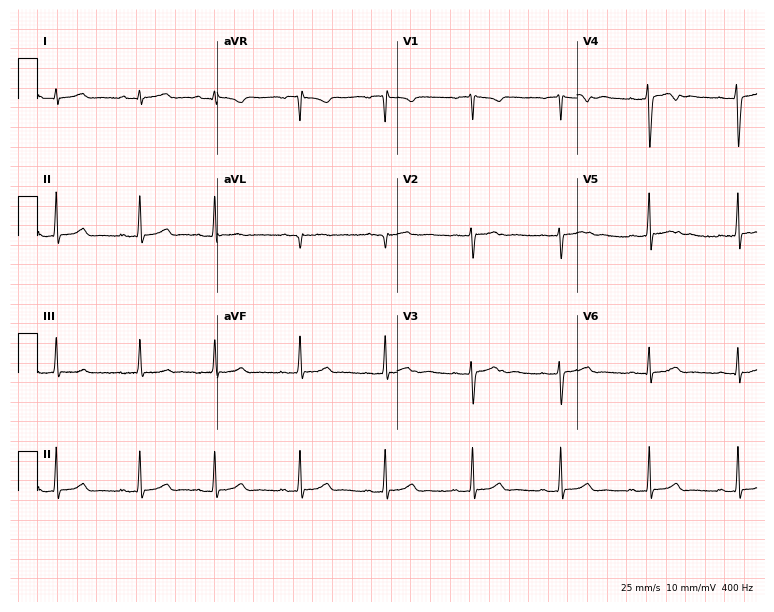
12-lead ECG (7.3-second recording at 400 Hz) from a woman, 19 years old. Labelled as a normal ECG.